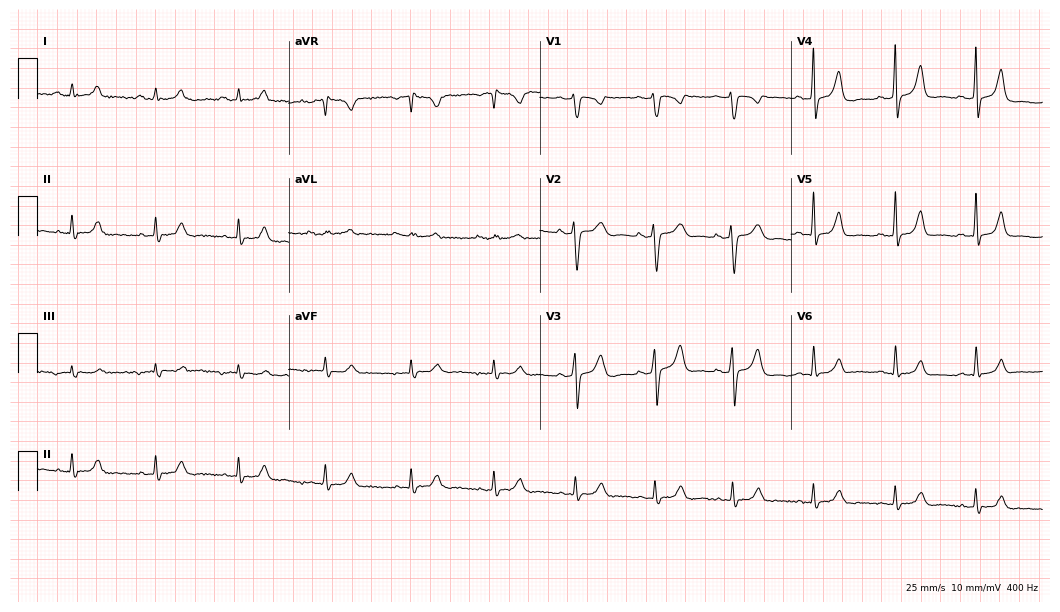
ECG — a 35-year-old female patient. Labelled as a normal ECG.